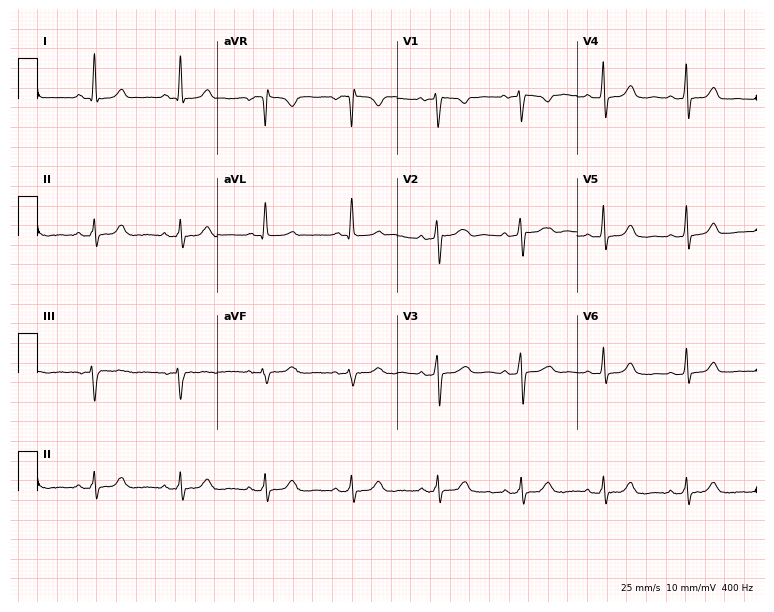
12-lead ECG from a 46-year-old woman. Screened for six findings — first-degree AV block, right bundle branch block, left bundle branch block, sinus bradycardia, atrial fibrillation, sinus tachycardia — none is recorded.